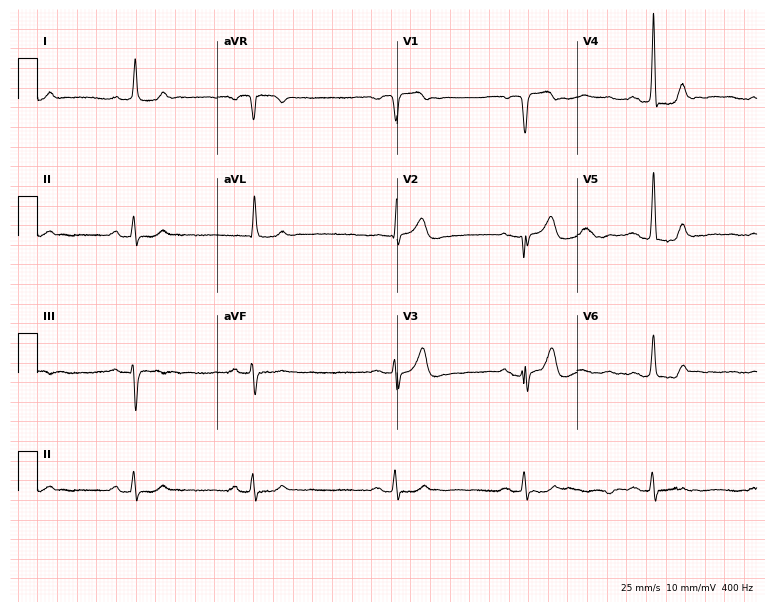
ECG — an 80-year-old male patient. Findings include sinus bradycardia (a sinus rate of 50 beats per minute or less).